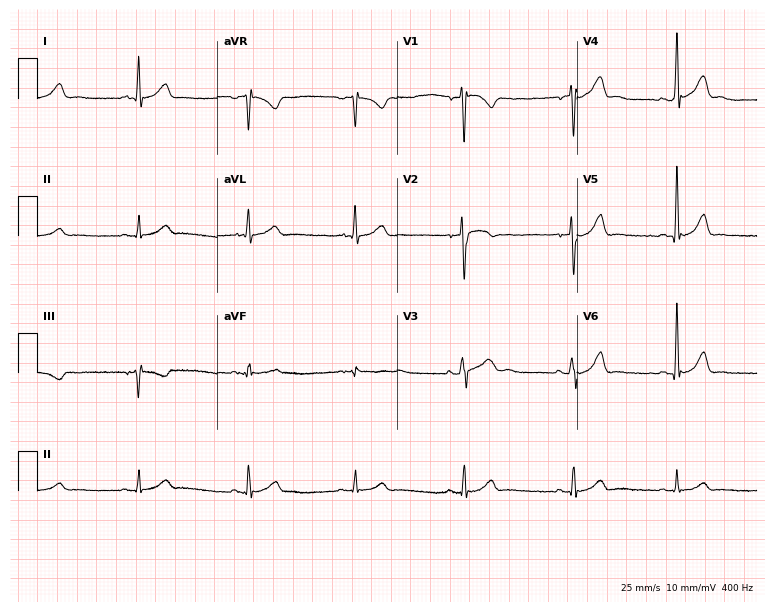
Electrocardiogram (7.3-second recording at 400 Hz), a 31-year-old male patient. Overall reading on record: normal ECG.